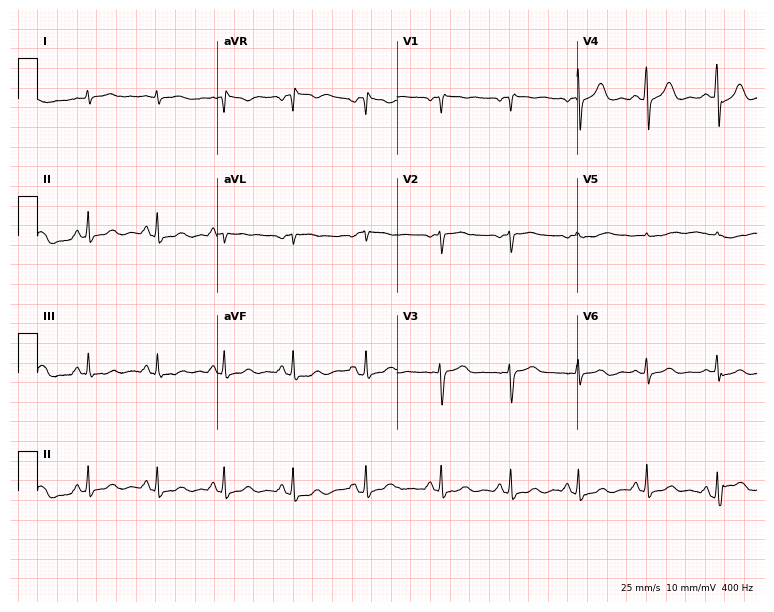
Standard 12-lead ECG recorded from a 30-year-old woman. None of these six findings is recorded: first-degree AV block, right bundle branch block, left bundle branch block, sinus bradycardia, atrial fibrillation, sinus tachycardia.